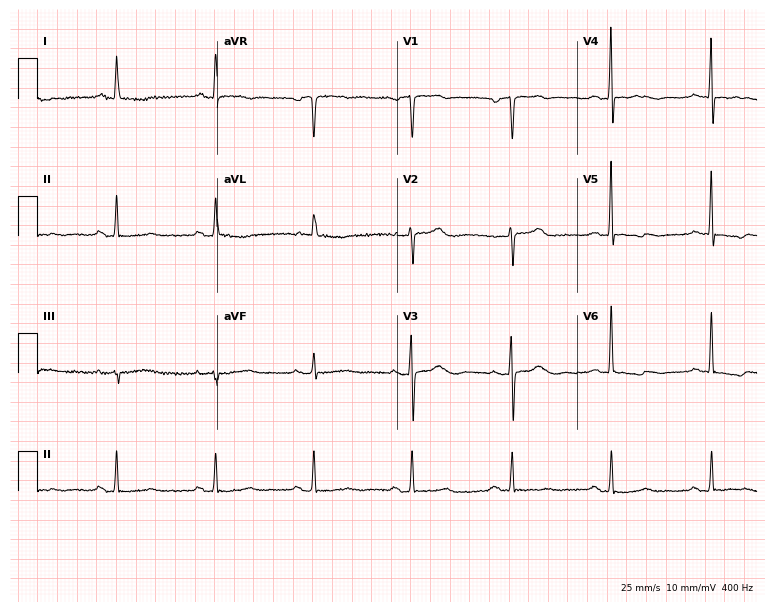
Standard 12-lead ECG recorded from an 81-year-old woman. None of these six findings is recorded: first-degree AV block, right bundle branch block, left bundle branch block, sinus bradycardia, atrial fibrillation, sinus tachycardia. Findings outside these six are not listed.